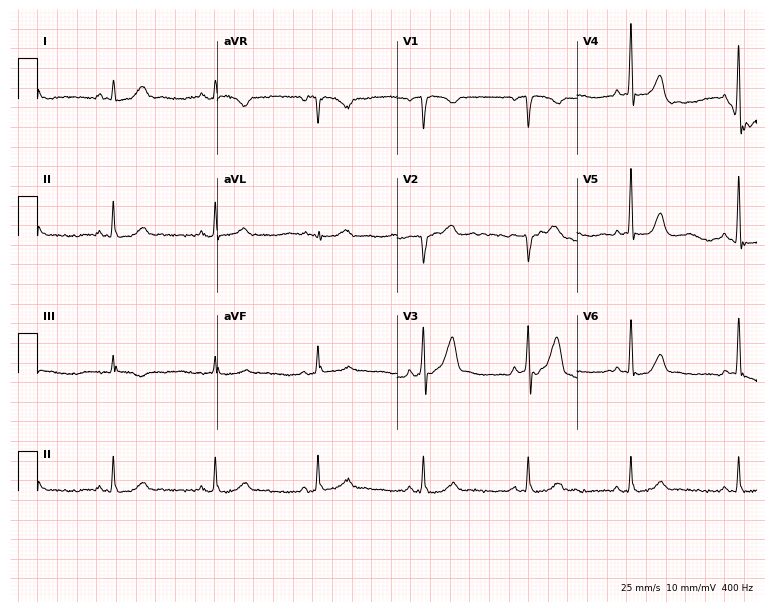
12-lead ECG from a male, 50 years old (7.3-second recording at 400 Hz). Recorded interpretation: within normal limits.